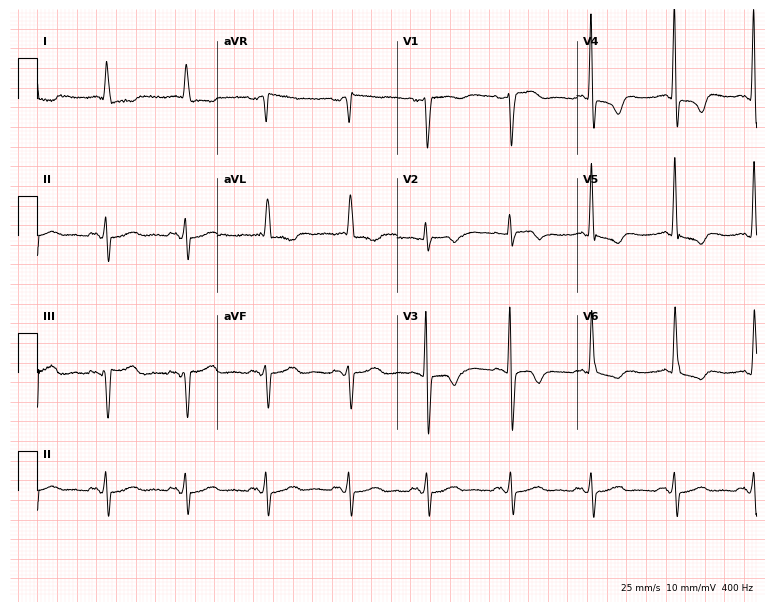
Standard 12-lead ECG recorded from a female, 87 years old (7.3-second recording at 400 Hz). None of these six findings is recorded: first-degree AV block, right bundle branch block, left bundle branch block, sinus bradycardia, atrial fibrillation, sinus tachycardia.